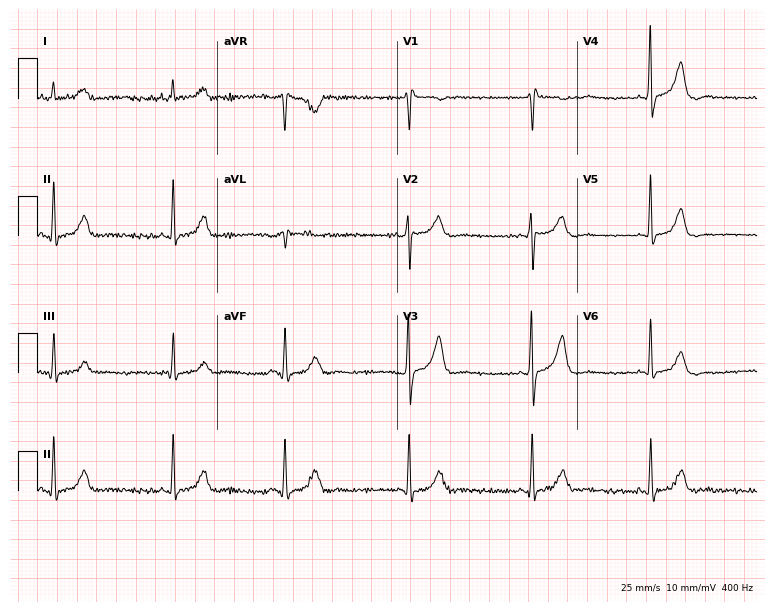
ECG — a male, 82 years old. Screened for six findings — first-degree AV block, right bundle branch block, left bundle branch block, sinus bradycardia, atrial fibrillation, sinus tachycardia — none is recorded. Other findings, if any, are not listed.